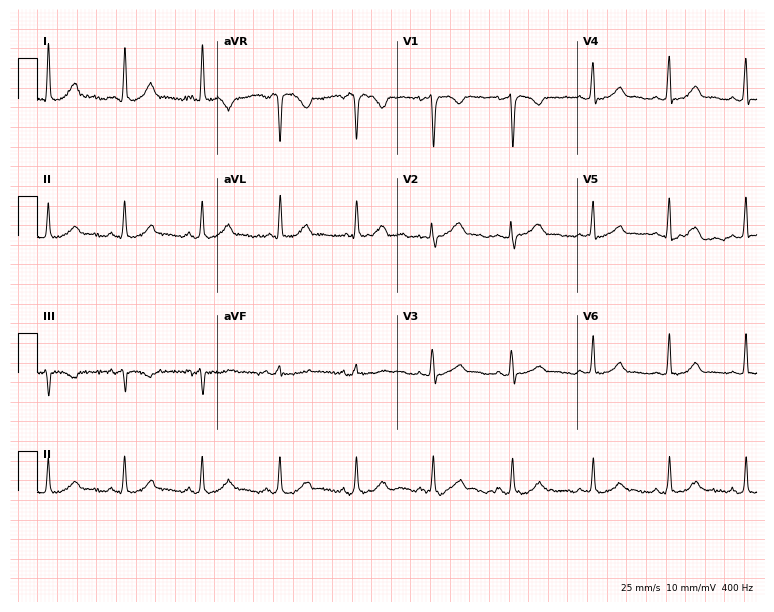
ECG — a 38-year-old female patient. Labelled as a normal ECG.